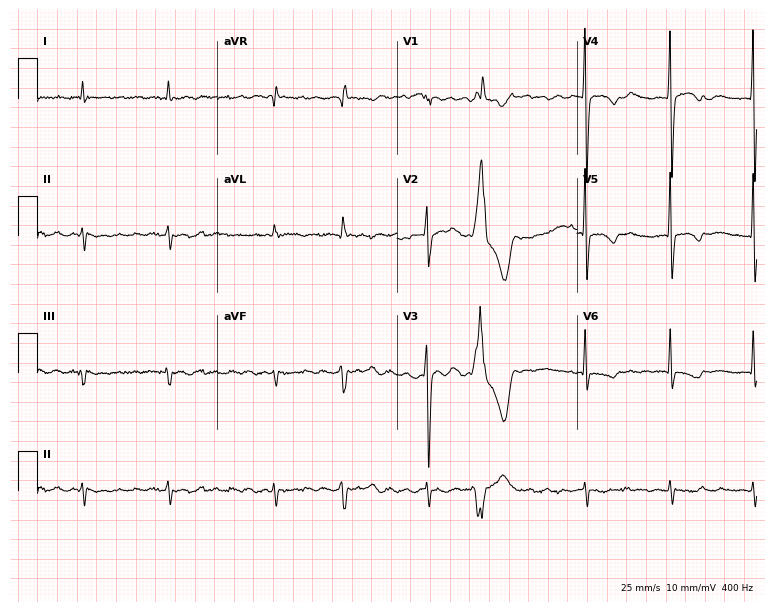
Resting 12-lead electrocardiogram (7.3-second recording at 400 Hz). Patient: a male, 79 years old. The tracing shows atrial fibrillation.